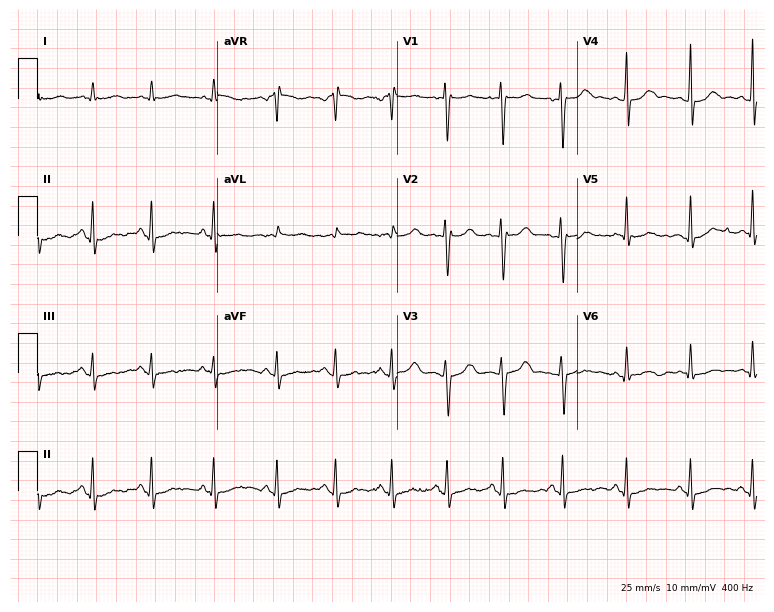
Standard 12-lead ECG recorded from a female, 19 years old. None of these six findings is recorded: first-degree AV block, right bundle branch block, left bundle branch block, sinus bradycardia, atrial fibrillation, sinus tachycardia.